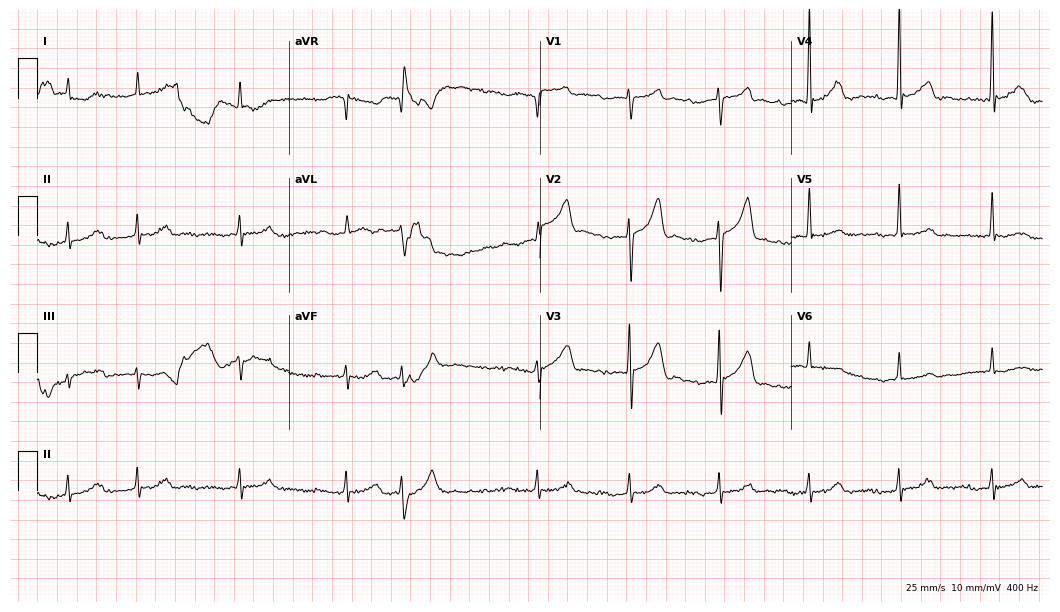
Standard 12-lead ECG recorded from a male, 81 years old. None of these six findings is recorded: first-degree AV block, right bundle branch block, left bundle branch block, sinus bradycardia, atrial fibrillation, sinus tachycardia. Findings outside these six are not listed.